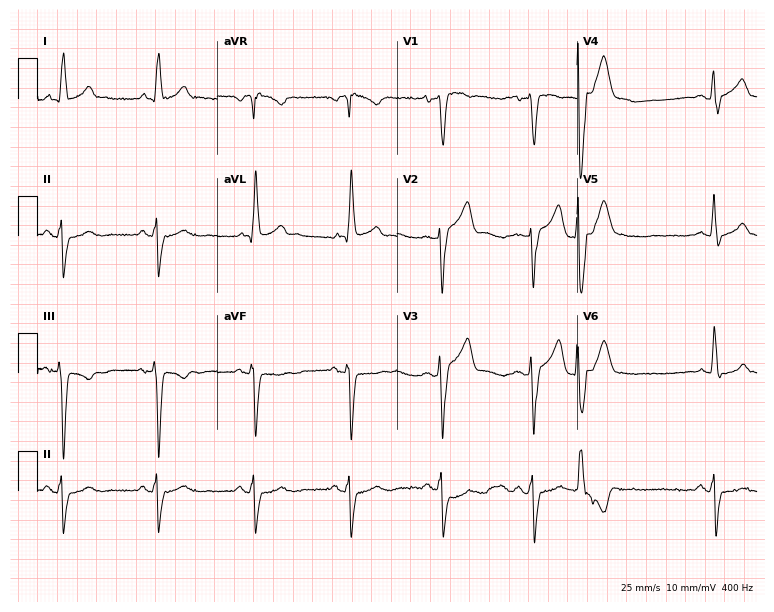
12-lead ECG from a male patient, 45 years old. Screened for six findings — first-degree AV block, right bundle branch block, left bundle branch block, sinus bradycardia, atrial fibrillation, sinus tachycardia — none is recorded. Other findings, if any, are not listed.